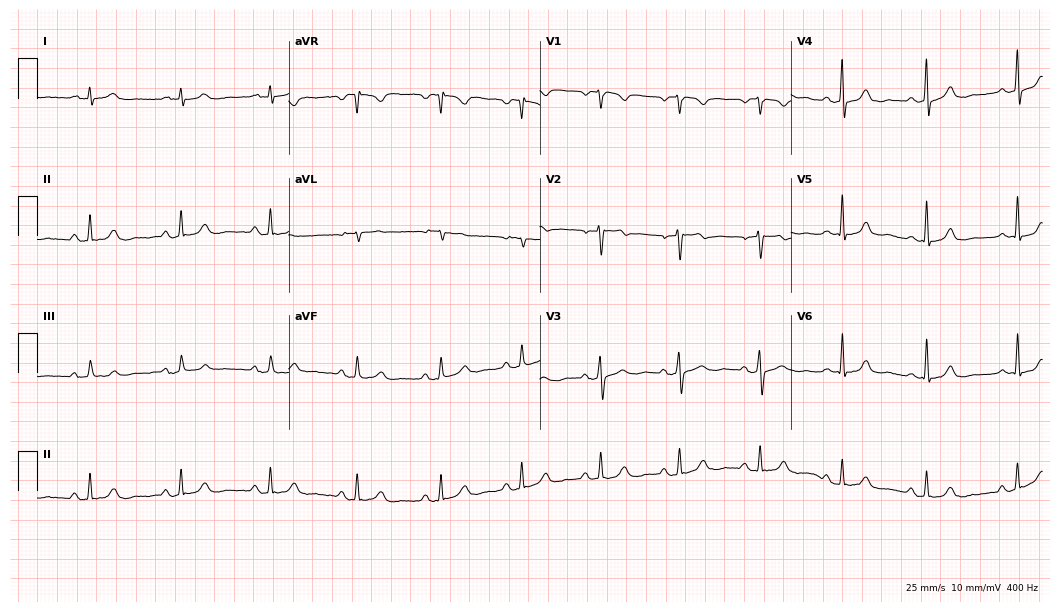
ECG — a man, 35 years old. Labelled as a normal ECG.